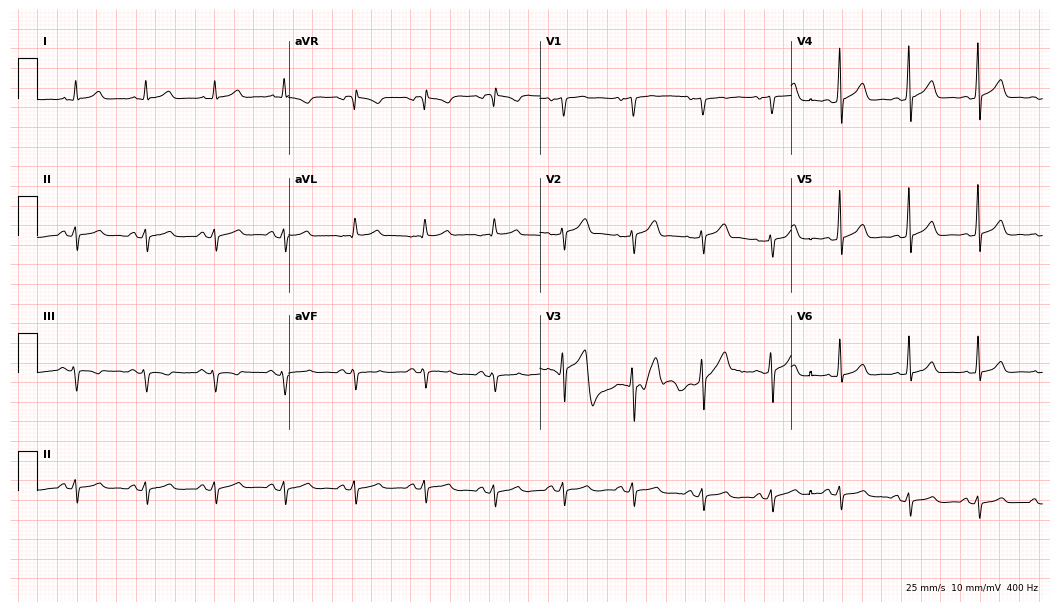
12-lead ECG from a 45-year-old man. No first-degree AV block, right bundle branch block (RBBB), left bundle branch block (LBBB), sinus bradycardia, atrial fibrillation (AF) or sinus tachycardia recorded for this tracing.